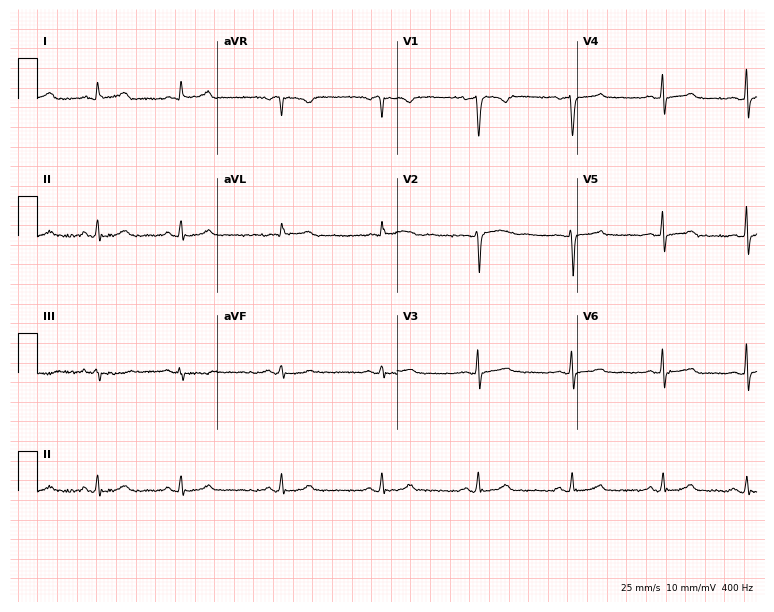
ECG — a woman, 40 years old. Screened for six findings — first-degree AV block, right bundle branch block, left bundle branch block, sinus bradycardia, atrial fibrillation, sinus tachycardia — none is recorded. Only these six findings were labelled.